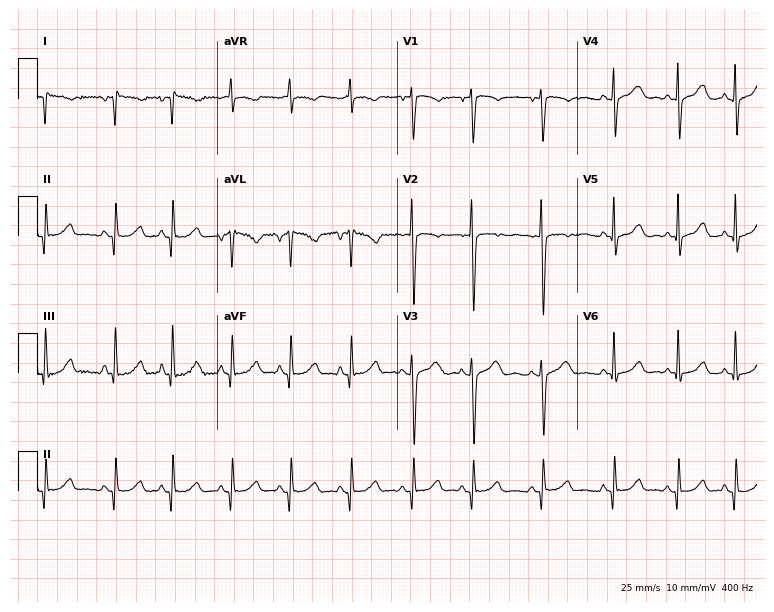
Resting 12-lead electrocardiogram. Patient: a female, 36 years old. None of these six findings is recorded: first-degree AV block, right bundle branch block, left bundle branch block, sinus bradycardia, atrial fibrillation, sinus tachycardia.